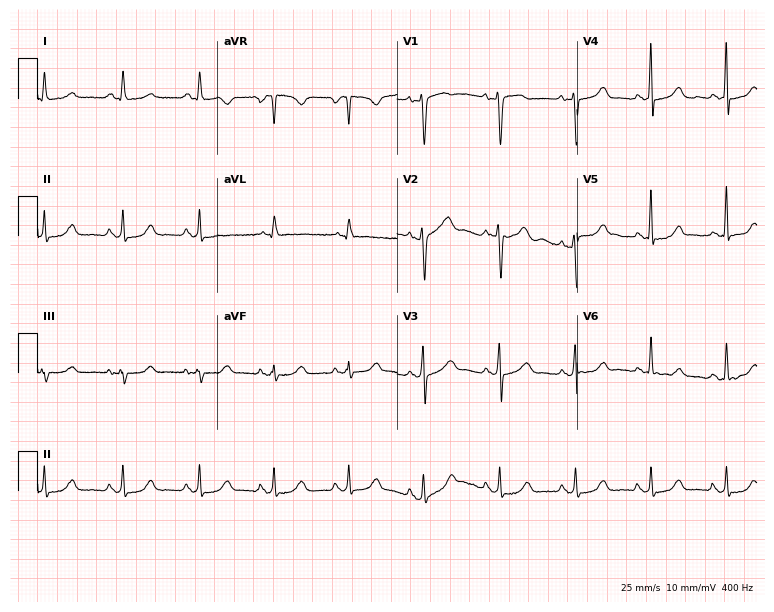
Resting 12-lead electrocardiogram (7.3-second recording at 400 Hz). Patient: a female, 49 years old. None of these six findings is recorded: first-degree AV block, right bundle branch block, left bundle branch block, sinus bradycardia, atrial fibrillation, sinus tachycardia.